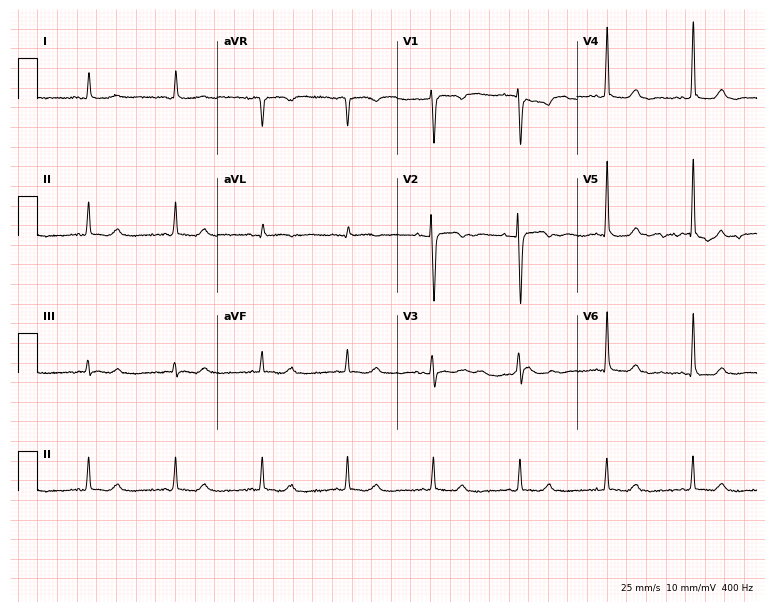
12-lead ECG (7.3-second recording at 400 Hz) from a woman, 71 years old. Screened for six findings — first-degree AV block, right bundle branch block, left bundle branch block, sinus bradycardia, atrial fibrillation, sinus tachycardia — none is recorded.